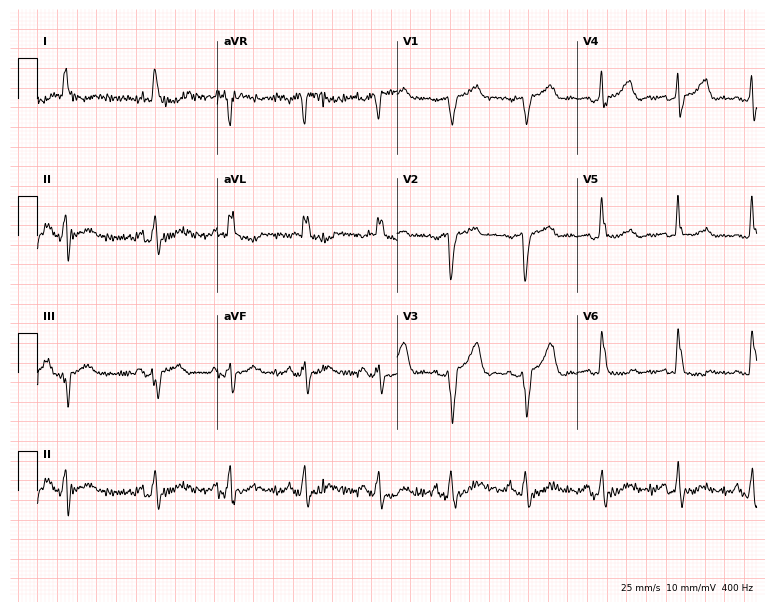
Standard 12-lead ECG recorded from a woman, 75 years old (7.3-second recording at 400 Hz). None of these six findings is recorded: first-degree AV block, right bundle branch block (RBBB), left bundle branch block (LBBB), sinus bradycardia, atrial fibrillation (AF), sinus tachycardia.